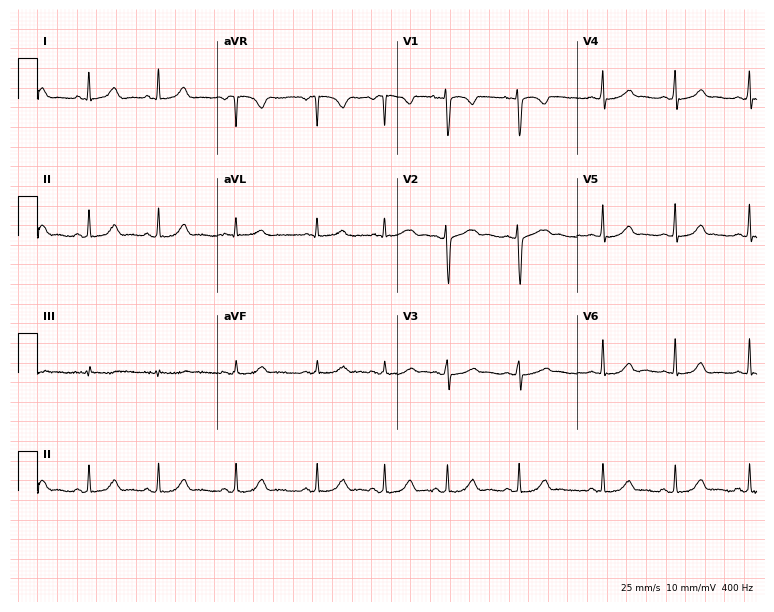
Standard 12-lead ECG recorded from a 25-year-old woman. None of these six findings is recorded: first-degree AV block, right bundle branch block, left bundle branch block, sinus bradycardia, atrial fibrillation, sinus tachycardia. Only these six findings were labelled.